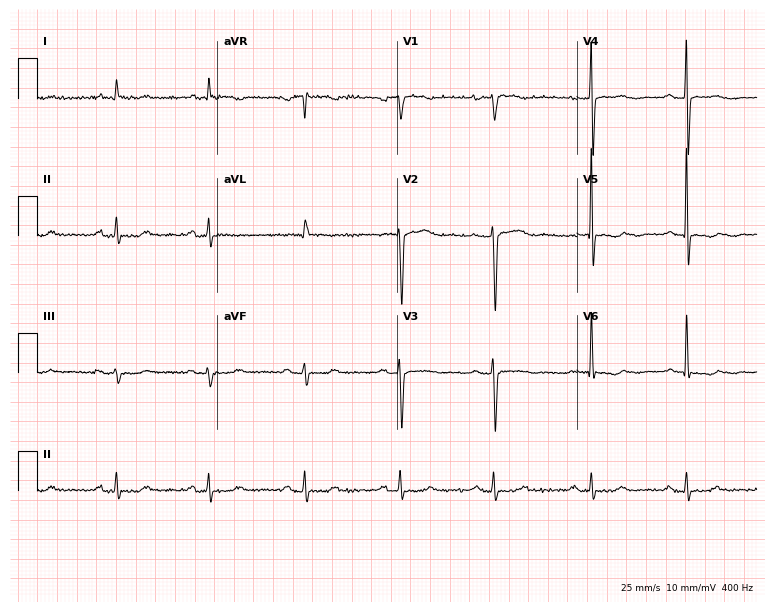
12-lead ECG from a 50-year-old female. No first-degree AV block, right bundle branch block (RBBB), left bundle branch block (LBBB), sinus bradycardia, atrial fibrillation (AF) or sinus tachycardia recorded for this tracing. Only these six findings were labelled.